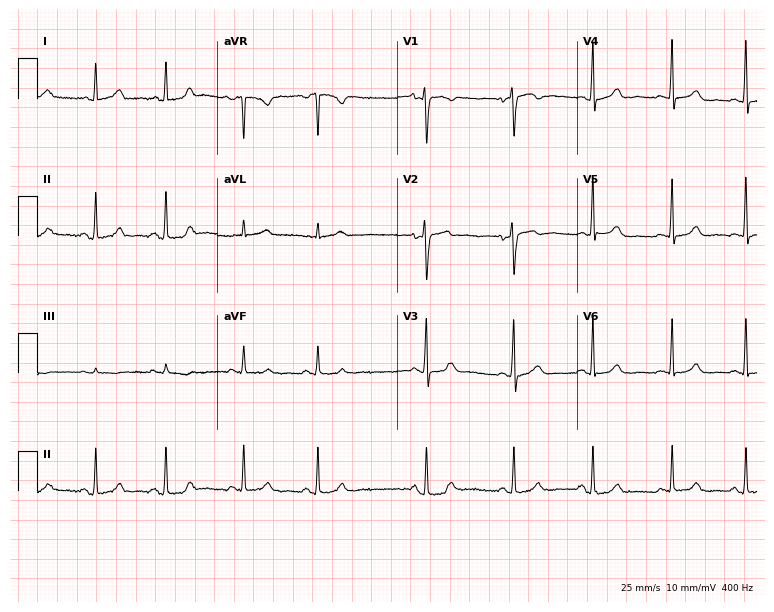
12-lead ECG from a woman, 29 years old. No first-degree AV block, right bundle branch block (RBBB), left bundle branch block (LBBB), sinus bradycardia, atrial fibrillation (AF) or sinus tachycardia recorded for this tracing.